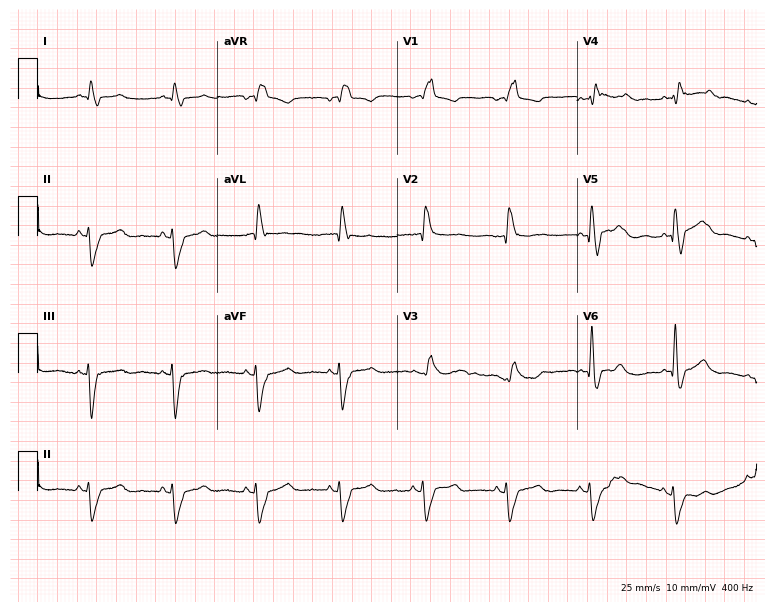
Standard 12-lead ECG recorded from a male, 73 years old (7.3-second recording at 400 Hz). The tracing shows right bundle branch block.